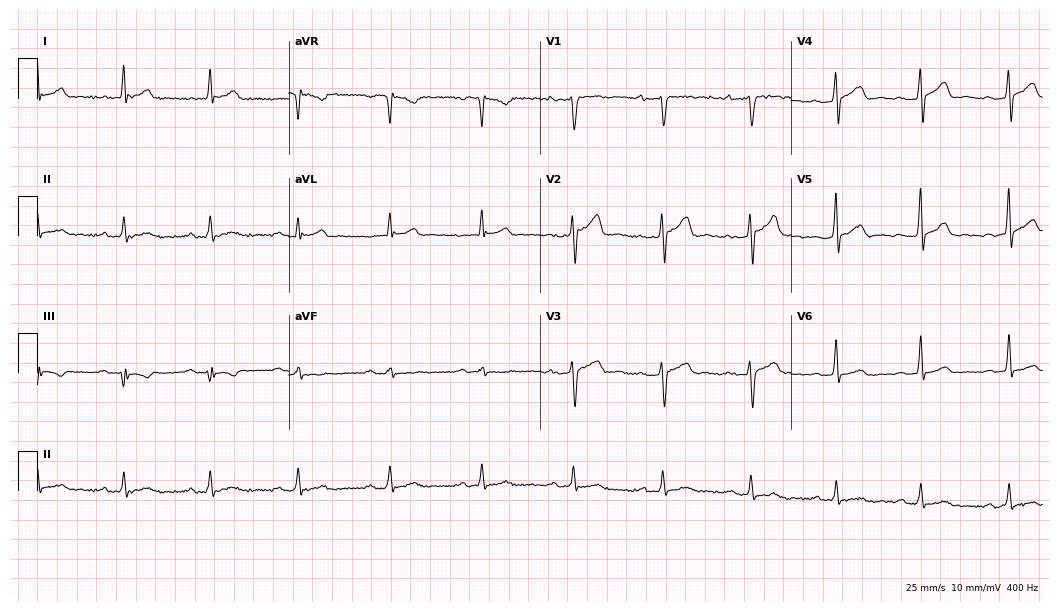
ECG — a man, 39 years old. Labelled as a normal ECG.